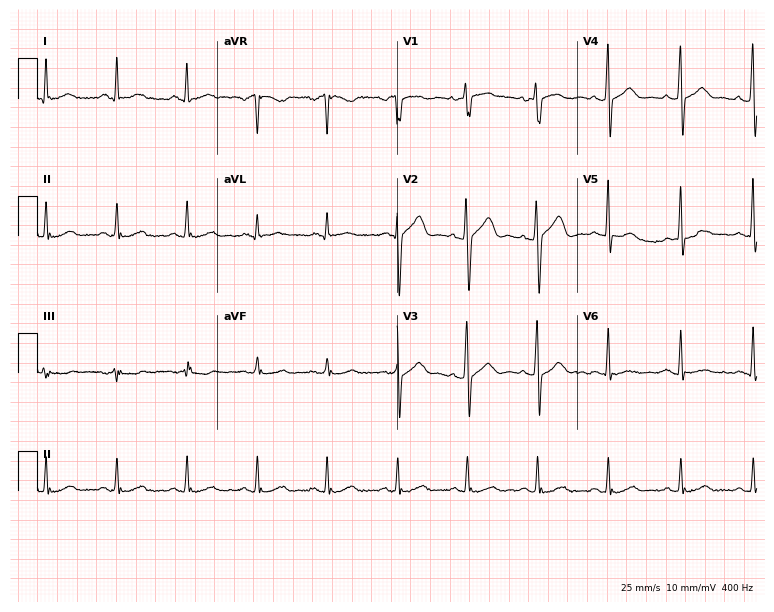
12-lead ECG (7.3-second recording at 400 Hz) from a 43-year-old male patient. Labelled as a normal ECG.